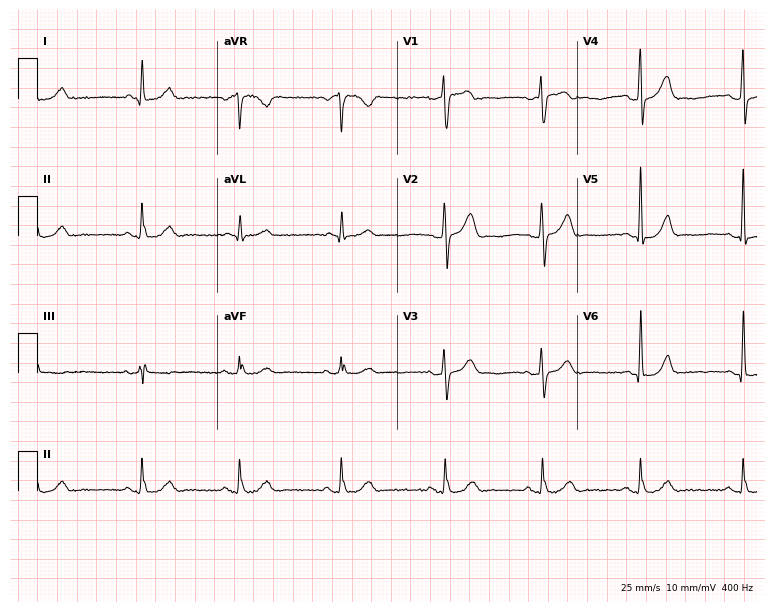
Electrocardiogram (7.3-second recording at 400 Hz), a male patient, 41 years old. Overall reading on record: normal ECG.